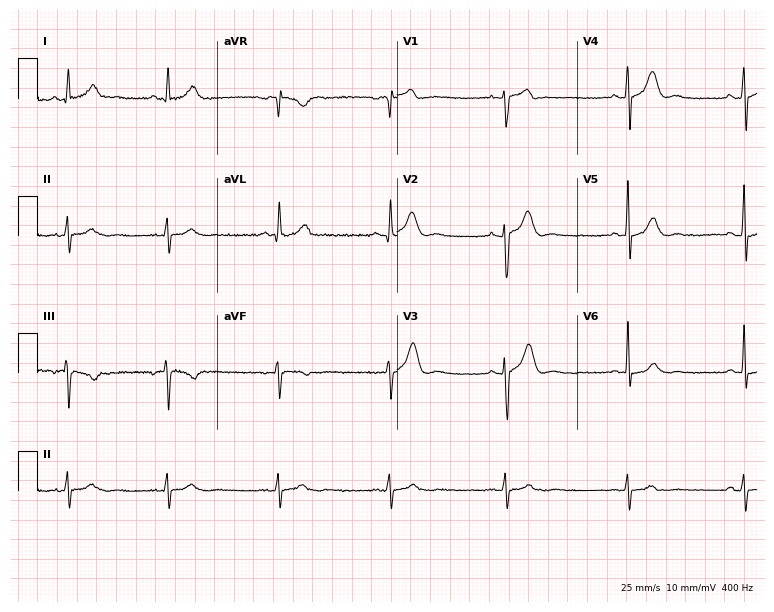
Electrocardiogram (7.3-second recording at 400 Hz), a woman, 54 years old. Overall reading on record: normal ECG.